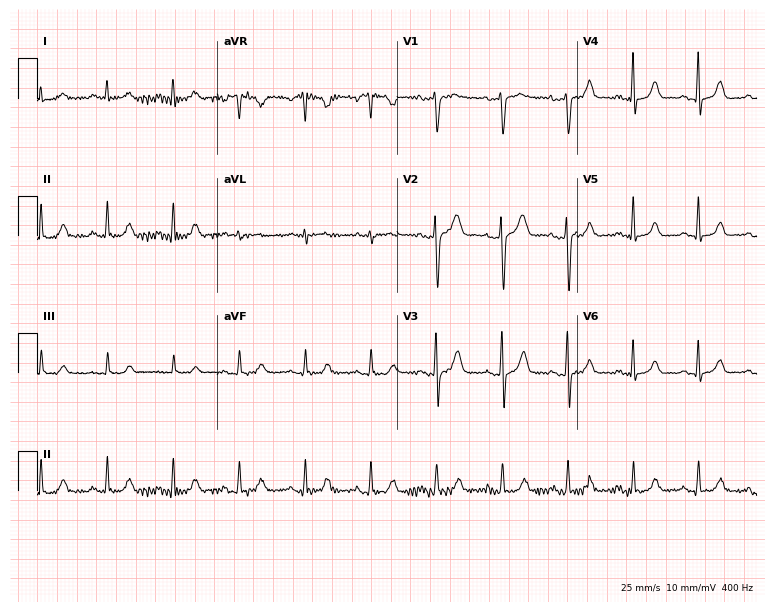
Resting 12-lead electrocardiogram. Patient: a 47-year-old female. None of these six findings is recorded: first-degree AV block, right bundle branch block (RBBB), left bundle branch block (LBBB), sinus bradycardia, atrial fibrillation (AF), sinus tachycardia.